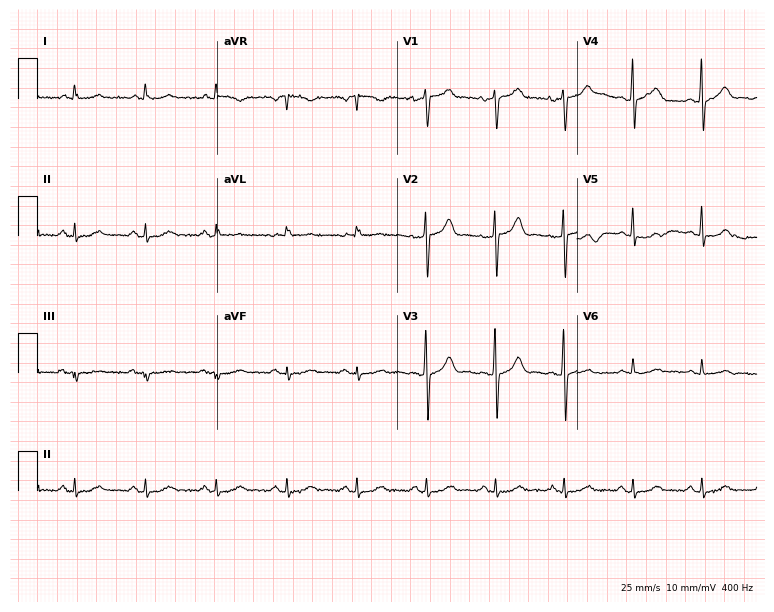
ECG — a 65-year-old male patient. Screened for six findings — first-degree AV block, right bundle branch block, left bundle branch block, sinus bradycardia, atrial fibrillation, sinus tachycardia — none is recorded. Other findings, if any, are not listed.